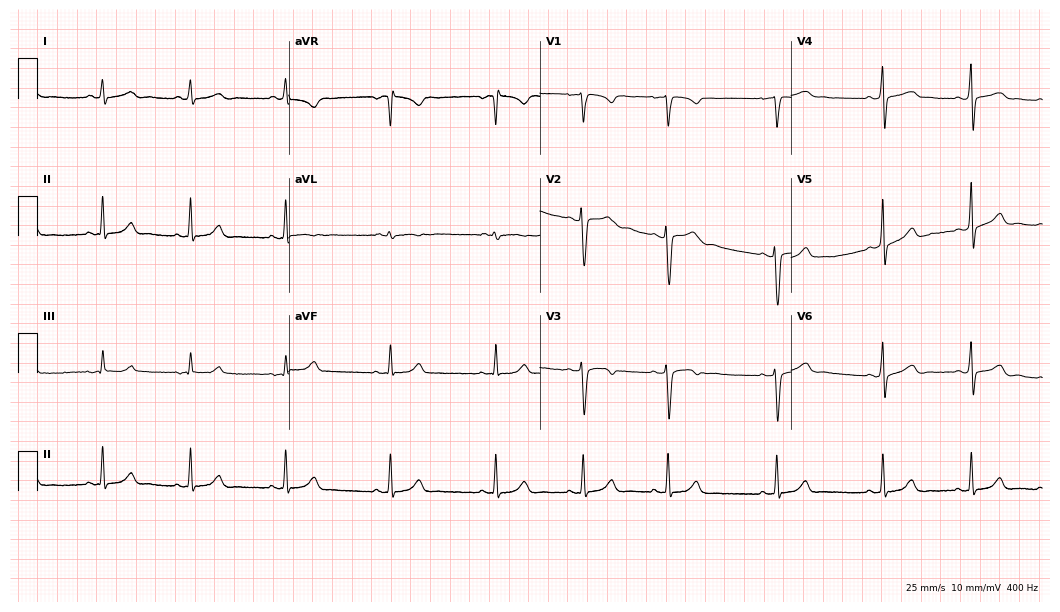
12-lead ECG from a female patient, 17 years old. Recorded interpretation: within normal limits.